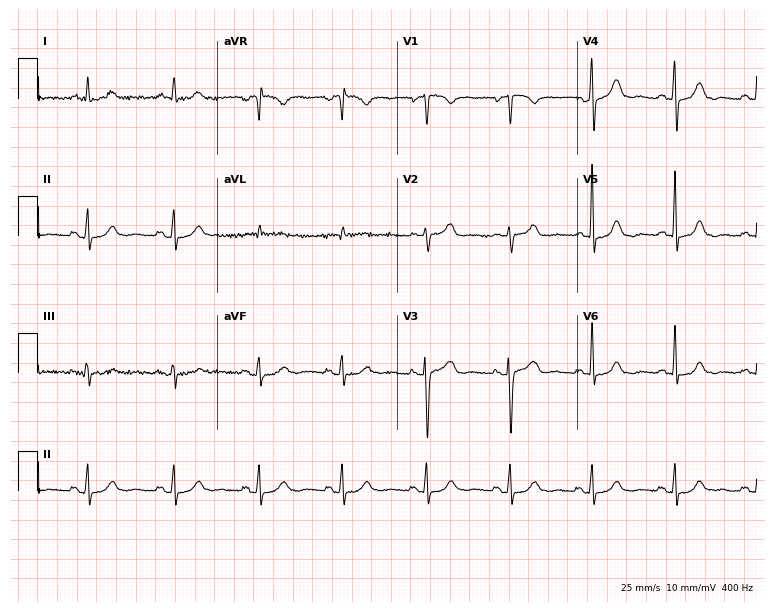
Electrocardiogram (7.3-second recording at 400 Hz), a female patient, 68 years old. Of the six screened findings (first-degree AV block, right bundle branch block (RBBB), left bundle branch block (LBBB), sinus bradycardia, atrial fibrillation (AF), sinus tachycardia), none is recorded.